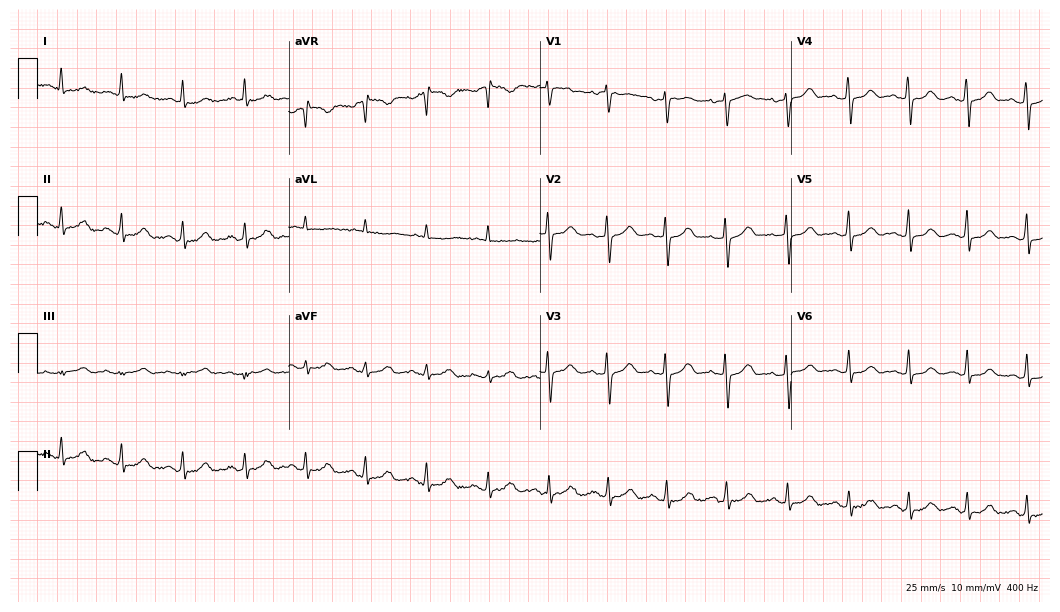
Electrocardiogram, a woman, 56 years old. Overall reading on record: normal ECG.